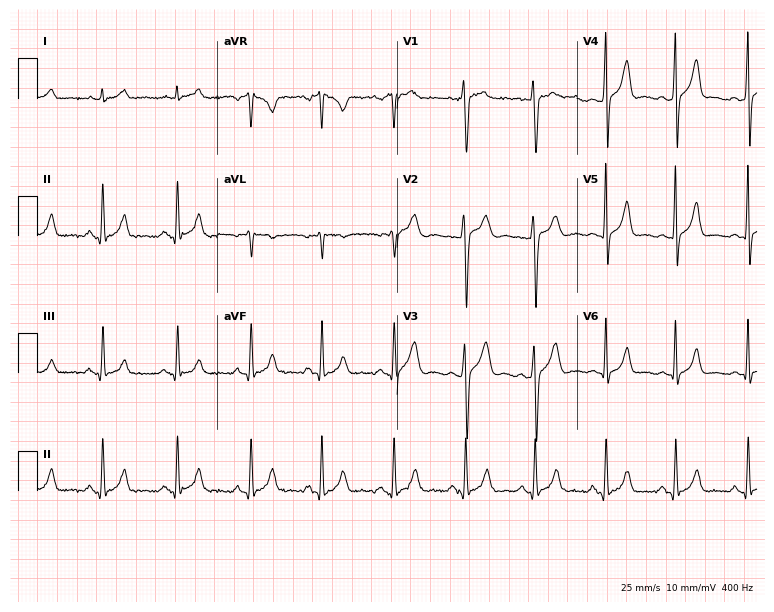
Resting 12-lead electrocardiogram. Patient: a man, 24 years old. Read as a normal ECG.